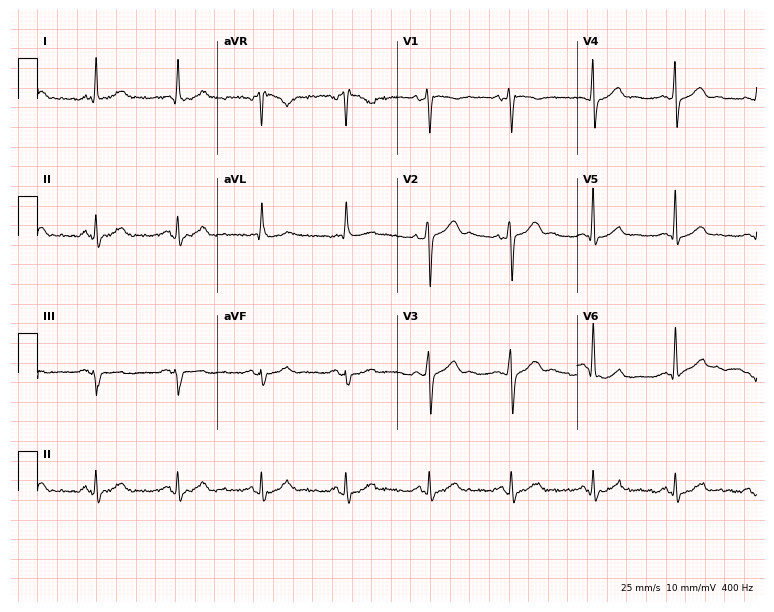
12-lead ECG from a 40-year-old male patient. Recorded interpretation: within normal limits.